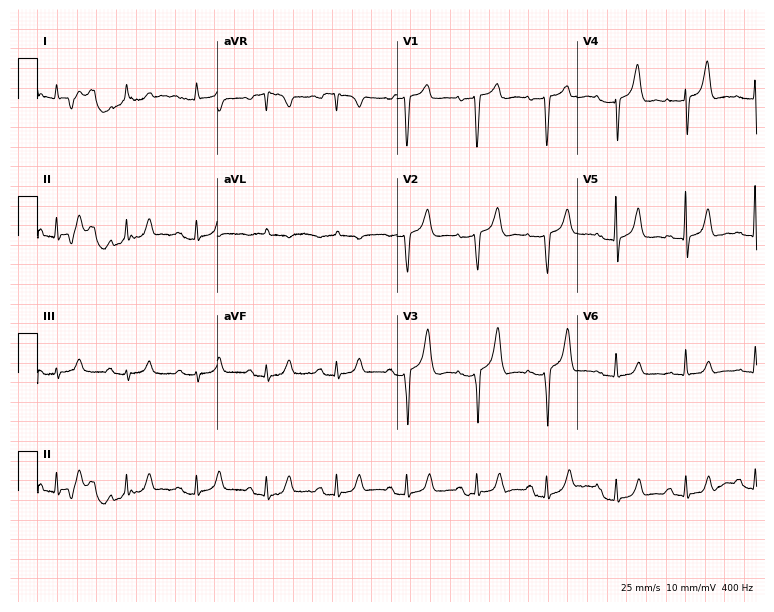
12-lead ECG from a male patient, 83 years old. No first-degree AV block, right bundle branch block, left bundle branch block, sinus bradycardia, atrial fibrillation or sinus tachycardia recorded for this tracing.